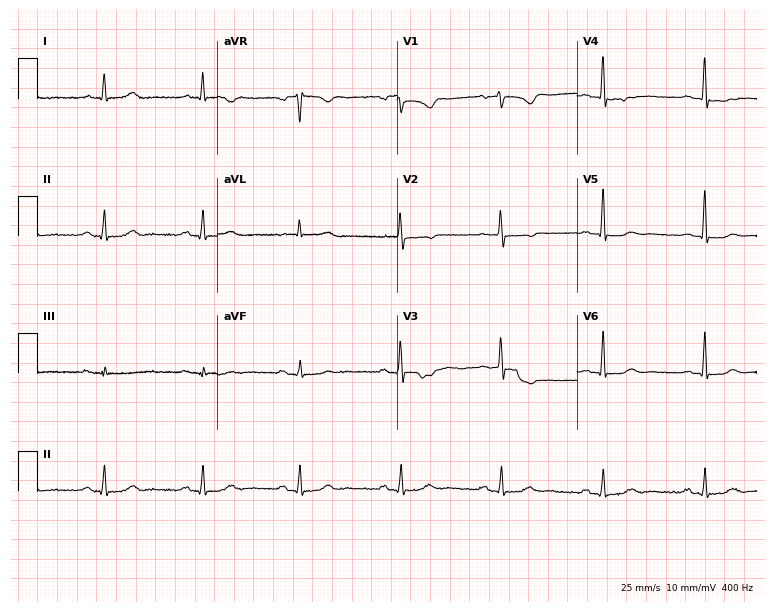
Resting 12-lead electrocardiogram. Patient: a 60-year-old female. None of these six findings is recorded: first-degree AV block, right bundle branch block, left bundle branch block, sinus bradycardia, atrial fibrillation, sinus tachycardia. Other findings, if any, are not listed.